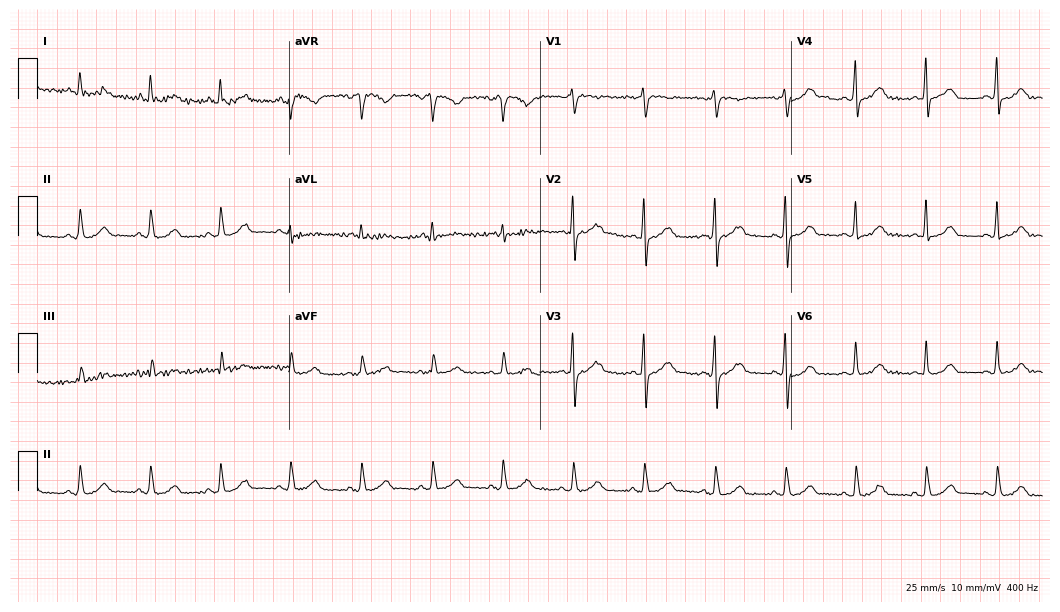
12-lead ECG from a 72-year-old woman (10.2-second recording at 400 Hz). No first-degree AV block, right bundle branch block, left bundle branch block, sinus bradycardia, atrial fibrillation or sinus tachycardia recorded for this tracing.